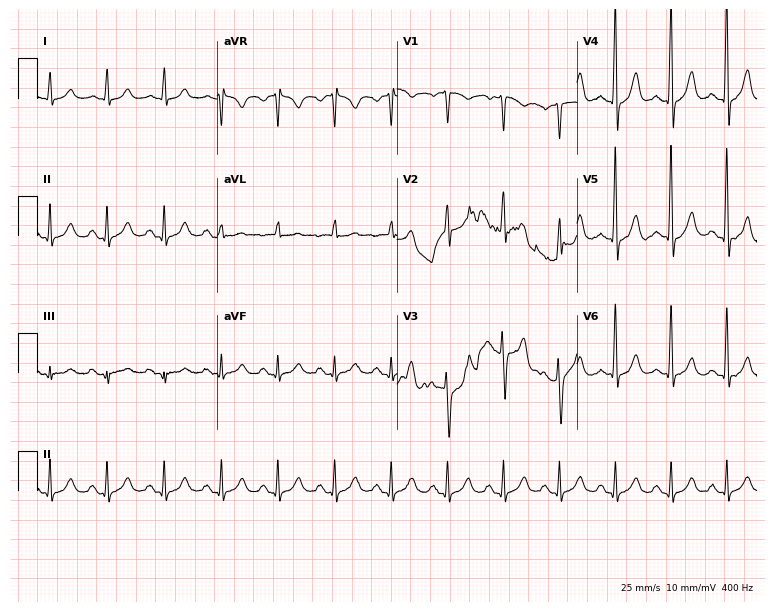
Electrocardiogram, a 49-year-old male. Interpretation includes sinus tachycardia (a sinus rate of 100 beats per minute or more).